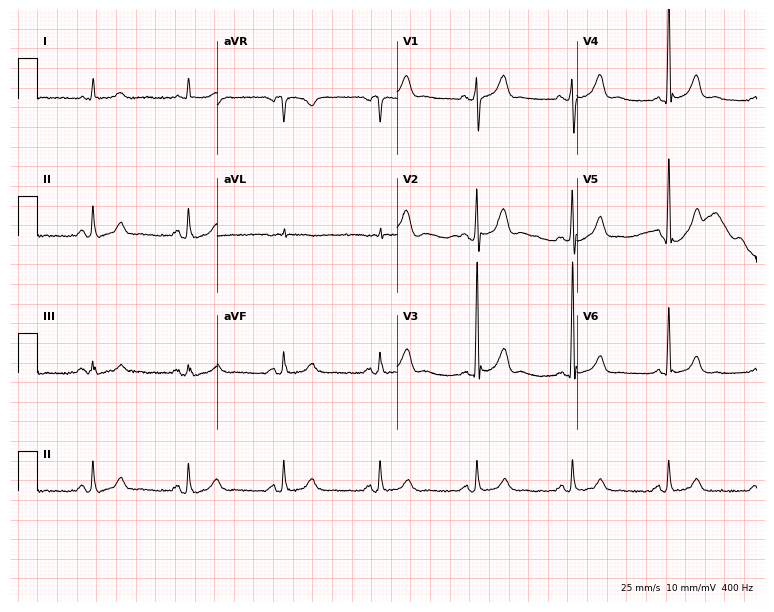
12-lead ECG from a 66-year-old male. No first-degree AV block, right bundle branch block, left bundle branch block, sinus bradycardia, atrial fibrillation or sinus tachycardia recorded for this tracing.